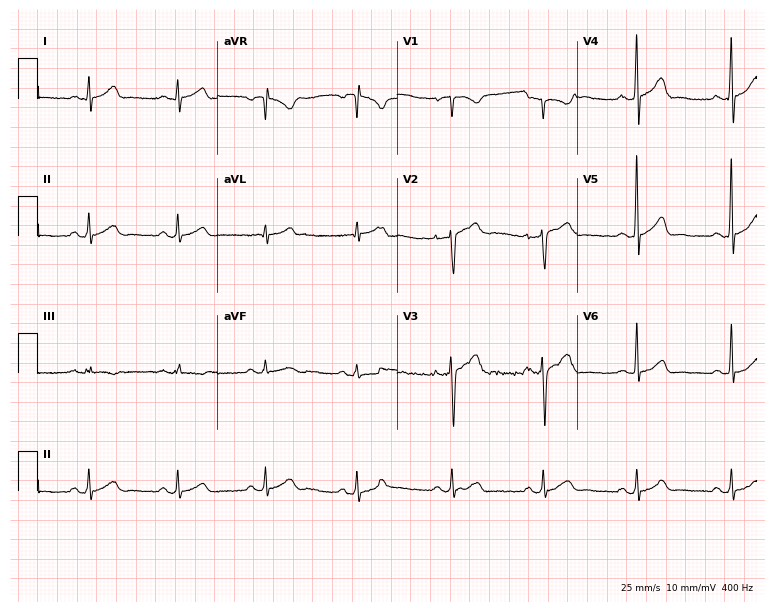
Standard 12-lead ECG recorded from a 34-year-old male (7.3-second recording at 400 Hz). None of these six findings is recorded: first-degree AV block, right bundle branch block, left bundle branch block, sinus bradycardia, atrial fibrillation, sinus tachycardia. Findings outside these six are not listed.